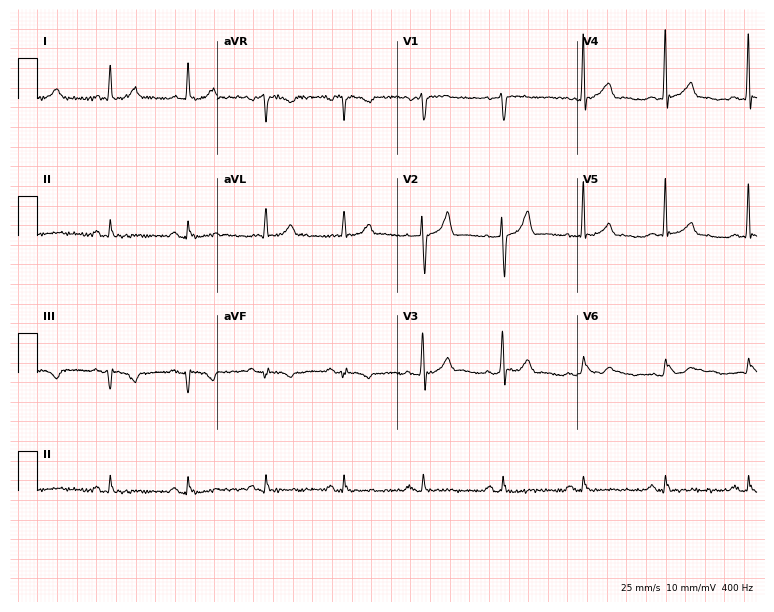
Electrocardiogram (7.3-second recording at 400 Hz), a man, 63 years old. Of the six screened findings (first-degree AV block, right bundle branch block (RBBB), left bundle branch block (LBBB), sinus bradycardia, atrial fibrillation (AF), sinus tachycardia), none is recorded. Other findings, if any, are not listed.